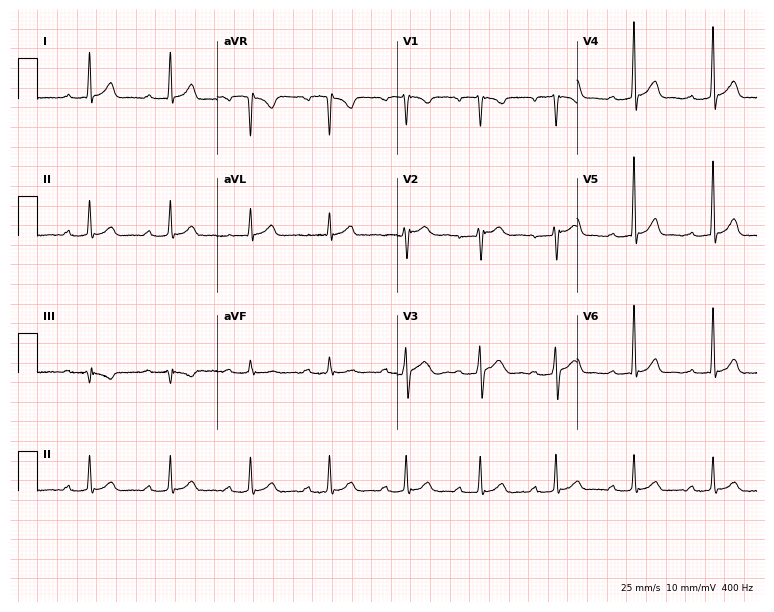
12-lead ECG from a 35-year-old male. Shows first-degree AV block.